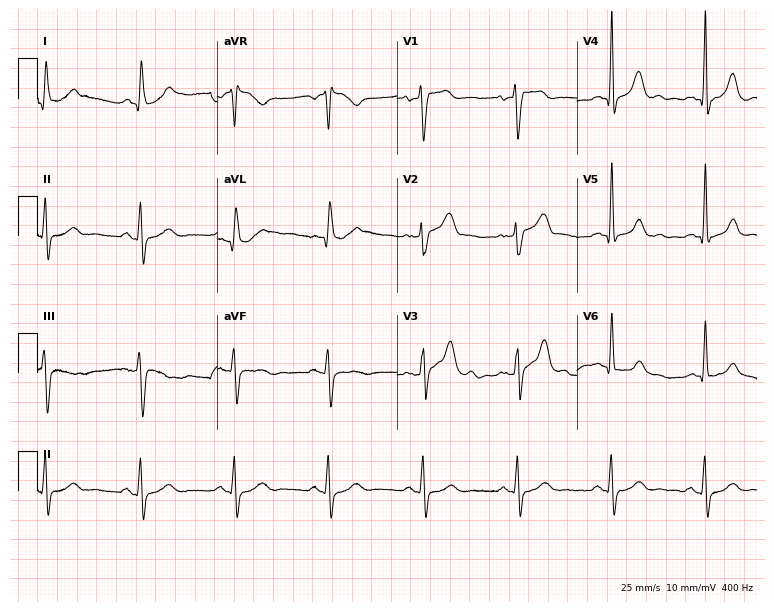
Standard 12-lead ECG recorded from a 74-year-old male patient. None of these six findings is recorded: first-degree AV block, right bundle branch block, left bundle branch block, sinus bradycardia, atrial fibrillation, sinus tachycardia.